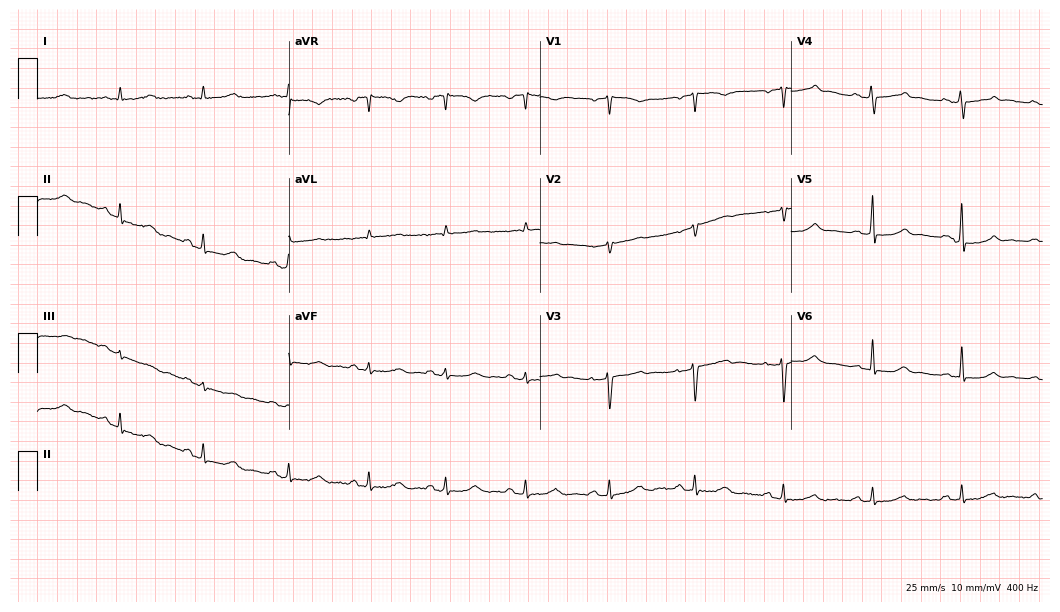
ECG (10.2-second recording at 400 Hz) — a woman, 49 years old. Labelled as a normal ECG.